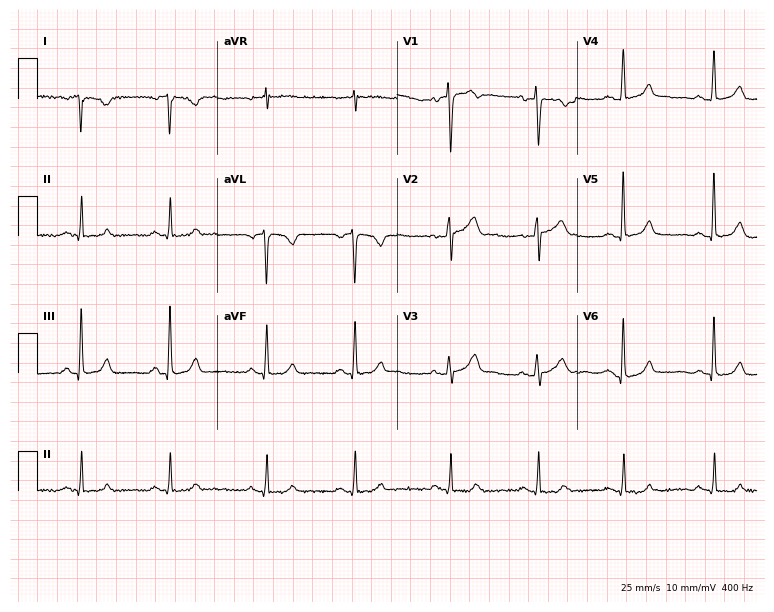
Resting 12-lead electrocardiogram (7.3-second recording at 400 Hz). Patient: a 34-year-old male. None of these six findings is recorded: first-degree AV block, right bundle branch block, left bundle branch block, sinus bradycardia, atrial fibrillation, sinus tachycardia. Findings outside these six are not listed.